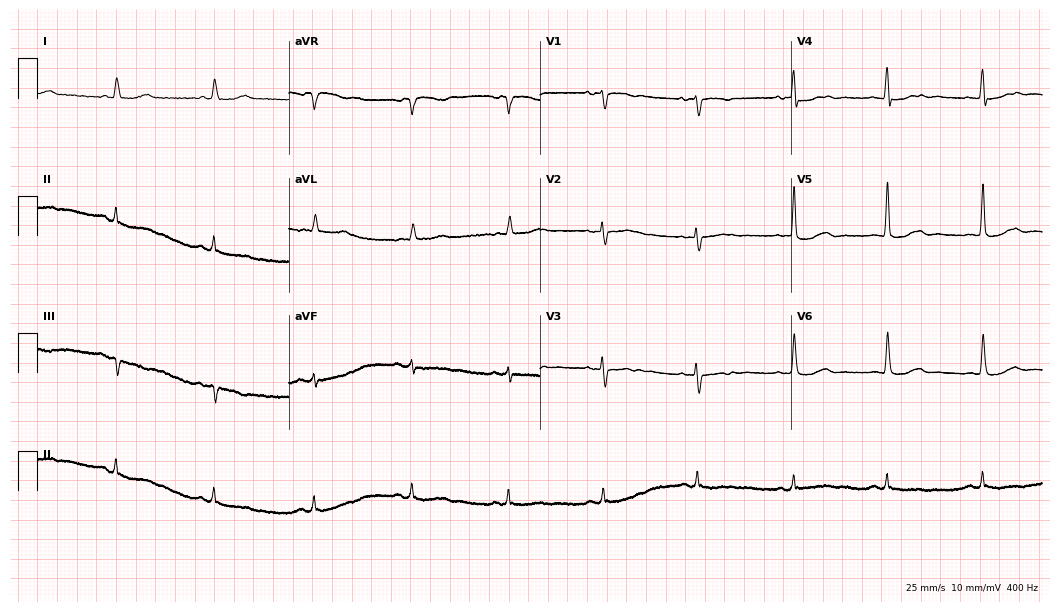
12-lead ECG from an 82-year-old woman. No first-degree AV block, right bundle branch block, left bundle branch block, sinus bradycardia, atrial fibrillation or sinus tachycardia recorded for this tracing.